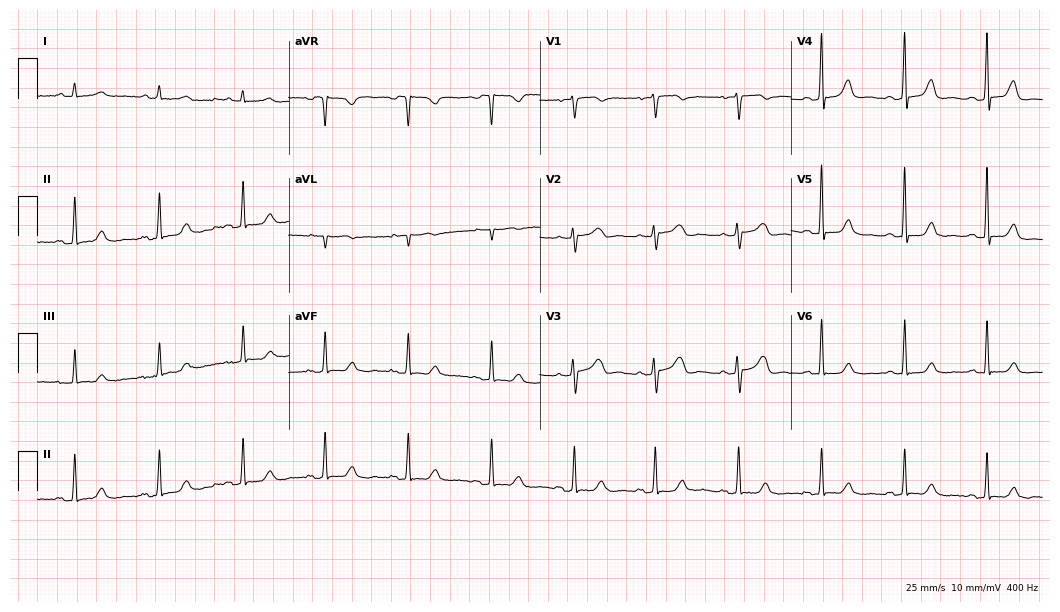
Resting 12-lead electrocardiogram. Patient: a 61-year-old woman. Read as a normal ECG.